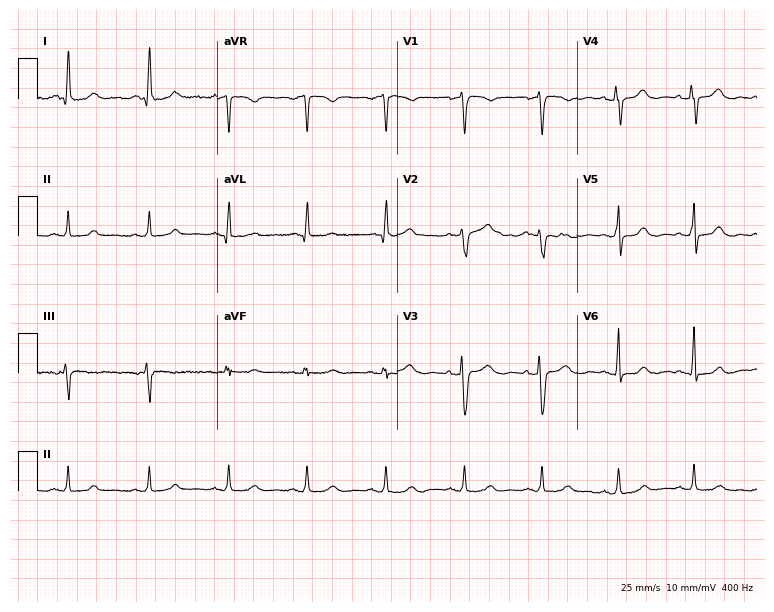
ECG — a woman, 52 years old. Screened for six findings — first-degree AV block, right bundle branch block, left bundle branch block, sinus bradycardia, atrial fibrillation, sinus tachycardia — none is recorded. Findings outside these six are not listed.